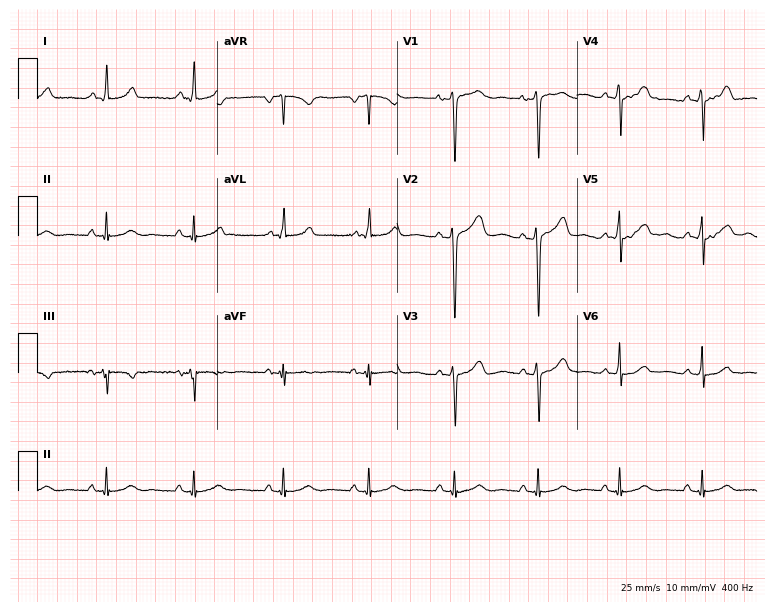
Resting 12-lead electrocardiogram (7.3-second recording at 400 Hz). Patient: a female, 35 years old. Read as a normal ECG.